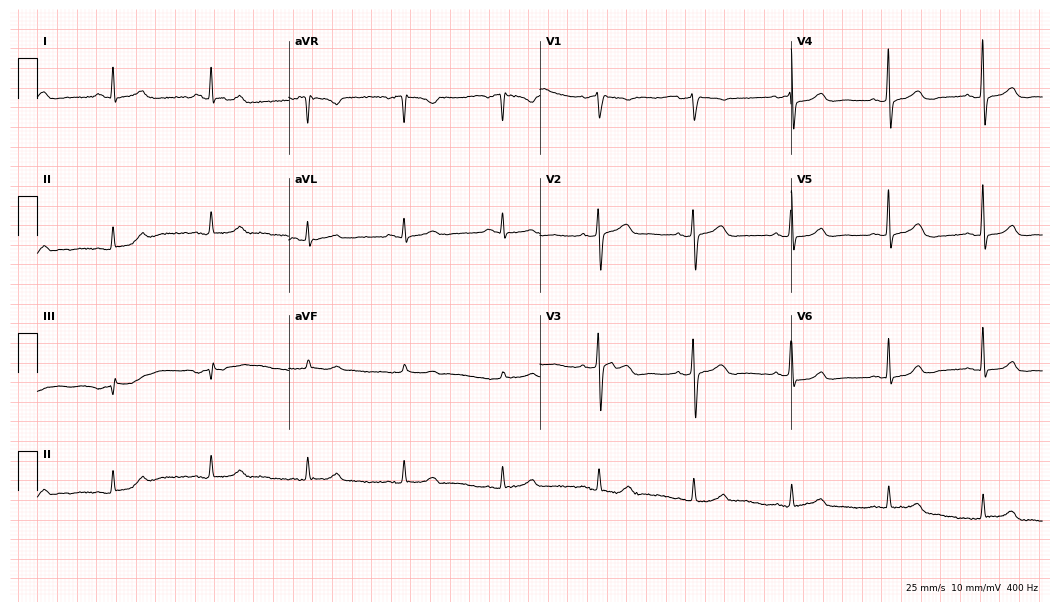
Standard 12-lead ECG recorded from a female patient, 59 years old (10.2-second recording at 400 Hz). None of these six findings is recorded: first-degree AV block, right bundle branch block (RBBB), left bundle branch block (LBBB), sinus bradycardia, atrial fibrillation (AF), sinus tachycardia. Only these six findings were labelled.